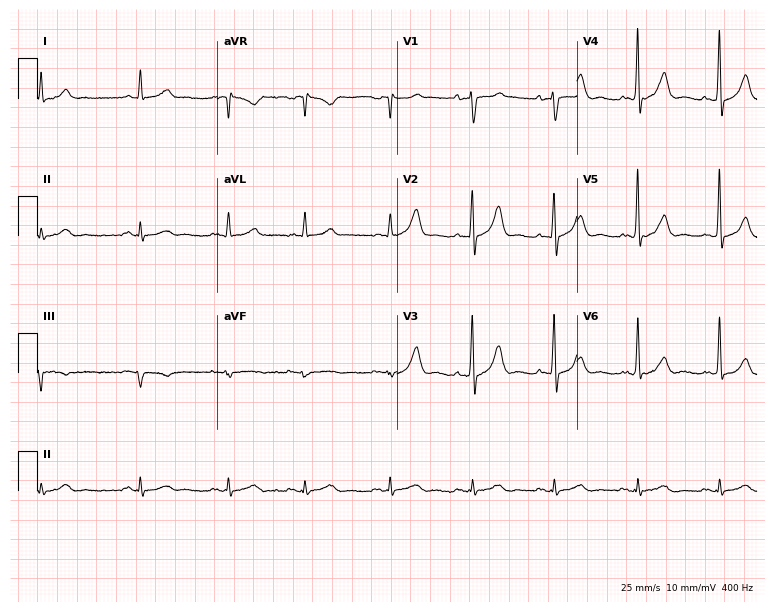
12-lead ECG from a male patient, 66 years old. Labelled as a normal ECG.